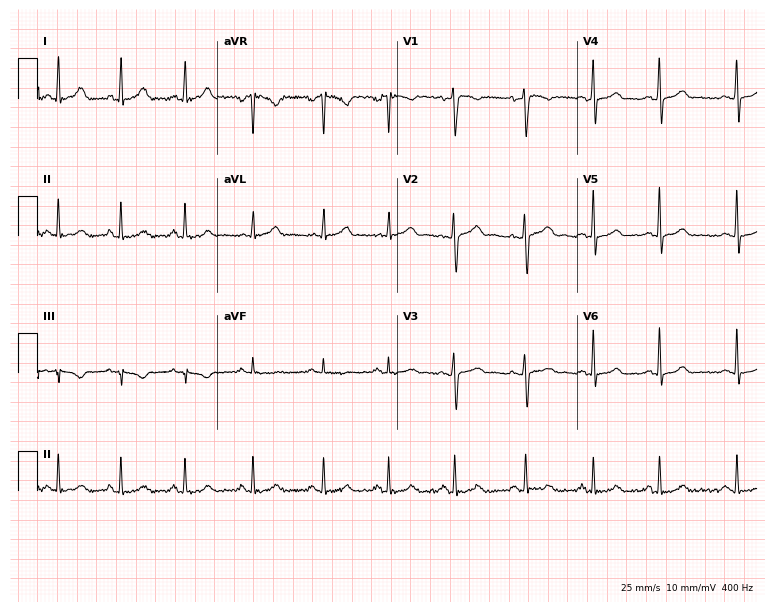
Standard 12-lead ECG recorded from a 38-year-old female (7.3-second recording at 400 Hz). Read as a normal ECG.